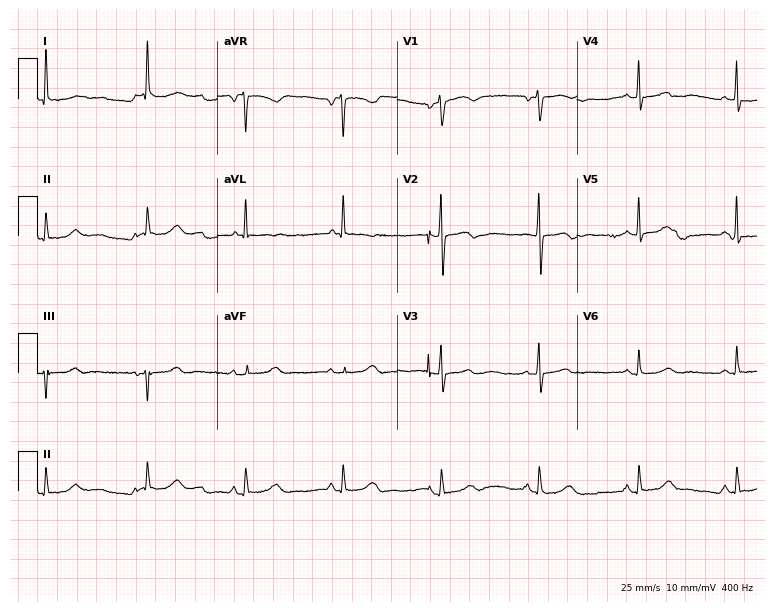
Standard 12-lead ECG recorded from a 54-year-old female patient (7.3-second recording at 400 Hz). Read as a normal ECG.